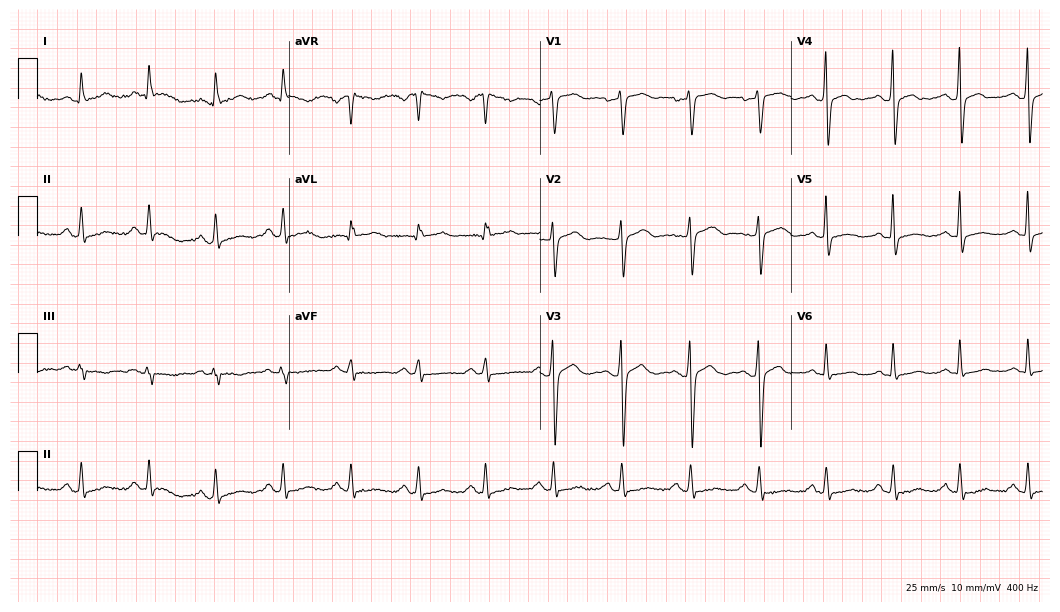
Resting 12-lead electrocardiogram. Patient: a female, 52 years old. None of these six findings is recorded: first-degree AV block, right bundle branch block, left bundle branch block, sinus bradycardia, atrial fibrillation, sinus tachycardia.